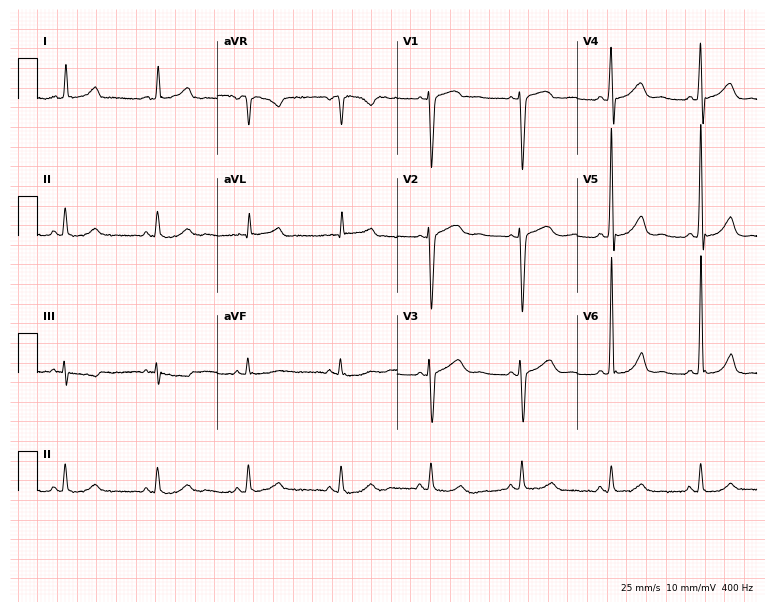
Standard 12-lead ECG recorded from a 60-year-old female patient (7.3-second recording at 400 Hz). Read as a normal ECG.